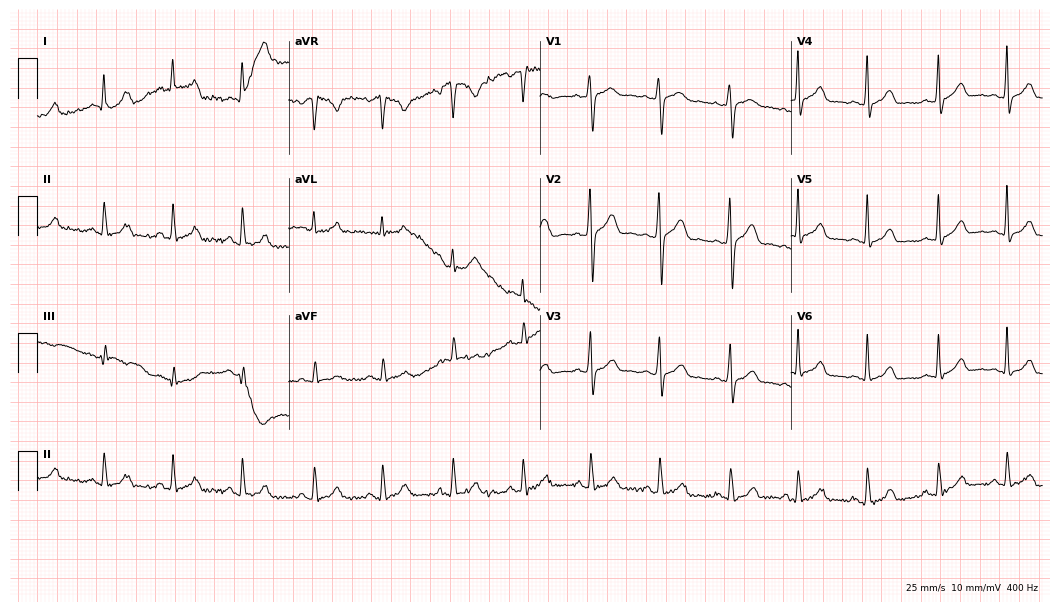
Standard 12-lead ECG recorded from a 33-year-old female patient (10.2-second recording at 400 Hz). None of these six findings is recorded: first-degree AV block, right bundle branch block, left bundle branch block, sinus bradycardia, atrial fibrillation, sinus tachycardia.